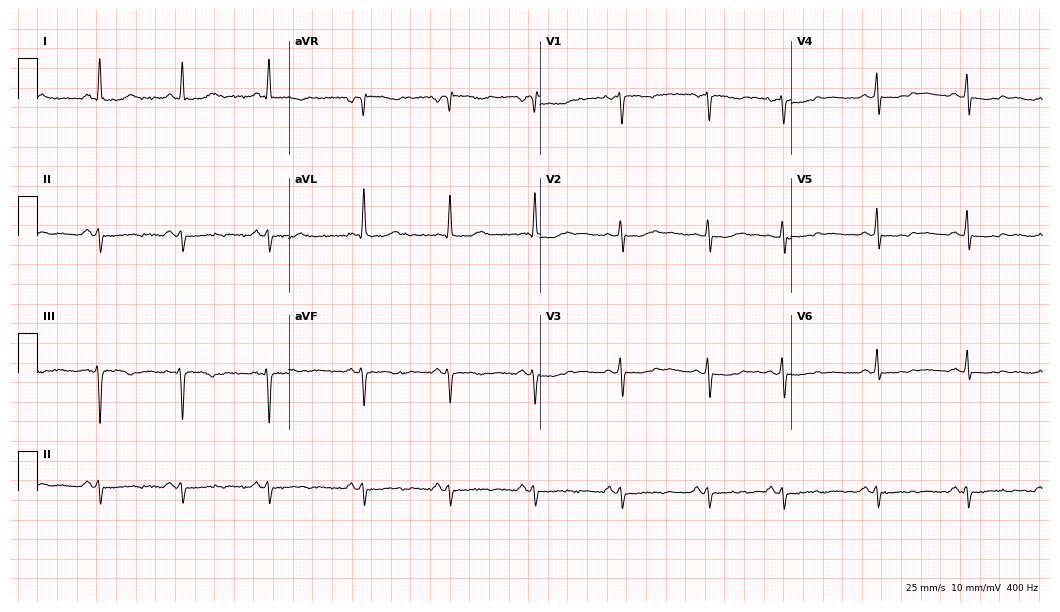
12-lead ECG from a female patient, 43 years old (10.2-second recording at 400 Hz). No first-degree AV block, right bundle branch block (RBBB), left bundle branch block (LBBB), sinus bradycardia, atrial fibrillation (AF) or sinus tachycardia recorded for this tracing. Findings outside these six are not listed.